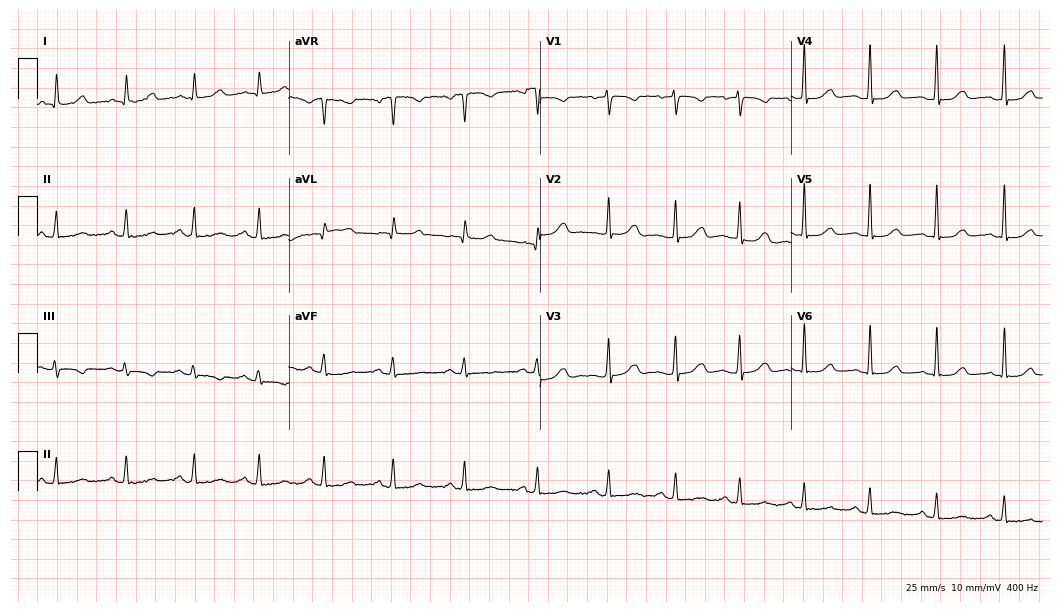
Standard 12-lead ECG recorded from a 45-year-old woman (10.2-second recording at 400 Hz). None of these six findings is recorded: first-degree AV block, right bundle branch block (RBBB), left bundle branch block (LBBB), sinus bradycardia, atrial fibrillation (AF), sinus tachycardia. Only these six findings were labelled.